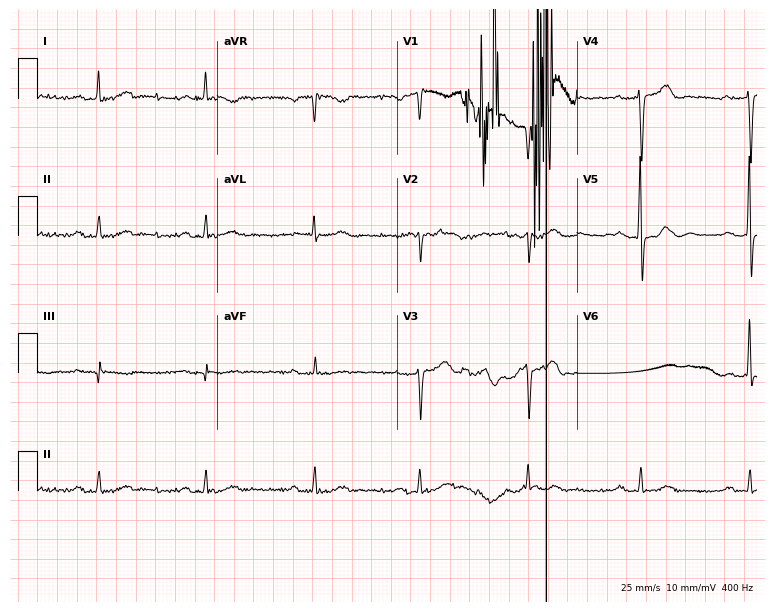
Resting 12-lead electrocardiogram. Patient: a 65-year-old male. The tracing shows first-degree AV block.